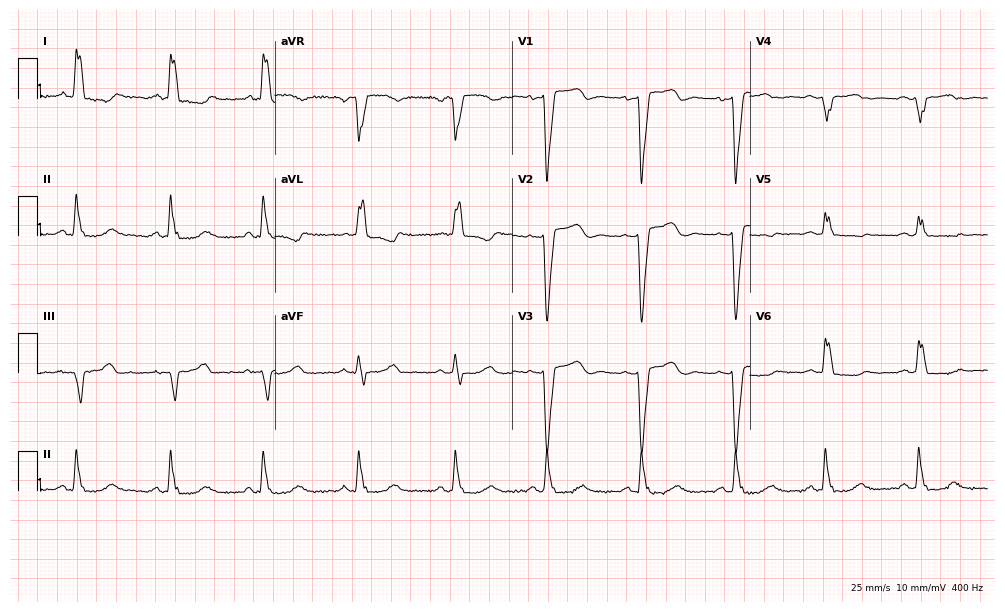
Standard 12-lead ECG recorded from a woman, 54 years old (9.7-second recording at 400 Hz). The tracing shows left bundle branch block (LBBB).